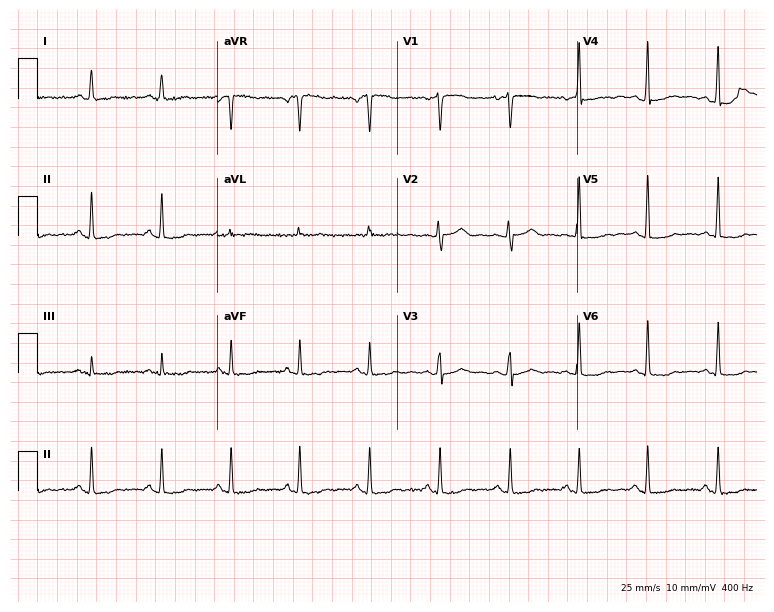
Resting 12-lead electrocardiogram. Patient: a female, 48 years old. None of these six findings is recorded: first-degree AV block, right bundle branch block (RBBB), left bundle branch block (LBBB), sinus bradycardia, atrial fibrillation (AF), sinus tachycardia. Other findings, if any, are not listed.